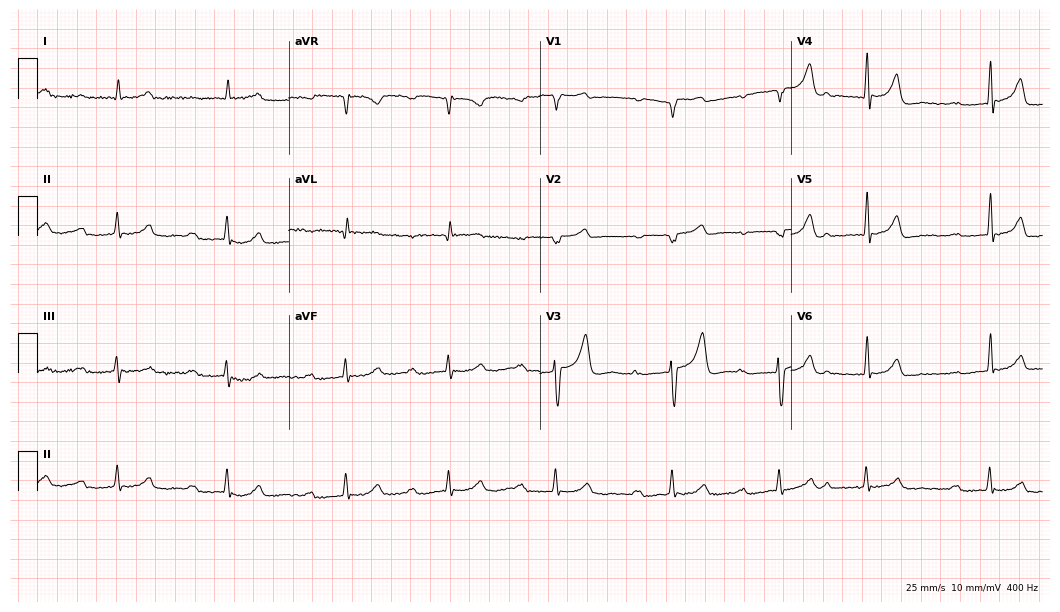
ECG — a 75-year-old male patient. Findings include atrial fibrillation.